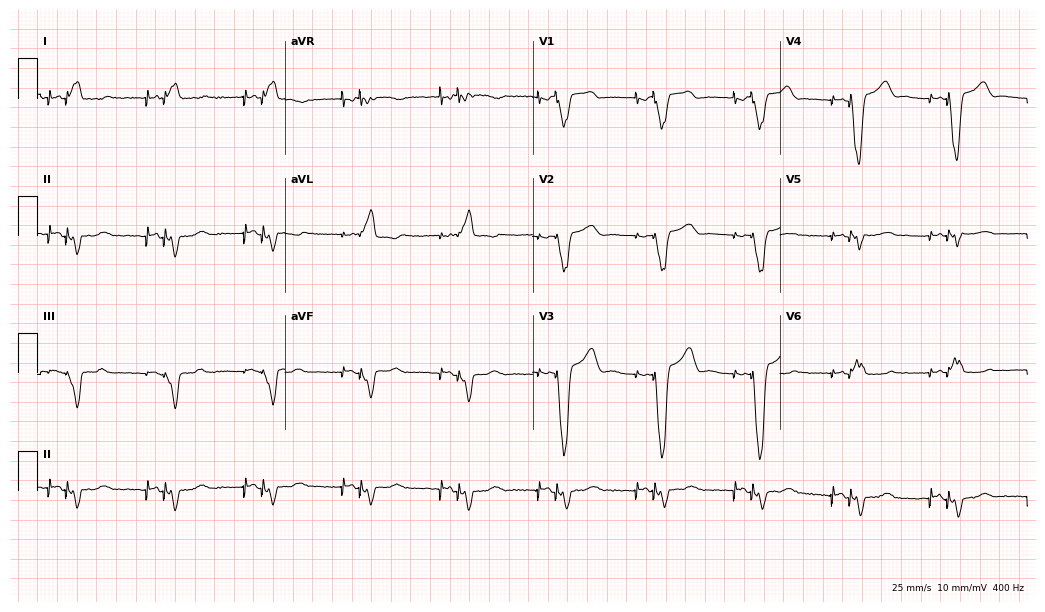
Resting 12-lead electrocardiogram. Patient: a 76-year-old male. None of these six findings is recorded: first-degree AV block, right bundle branch block, left bundle branch block, sinus bradycardia, atrial fibrillation, sinus tachycardia. Only these six findings were labelled.